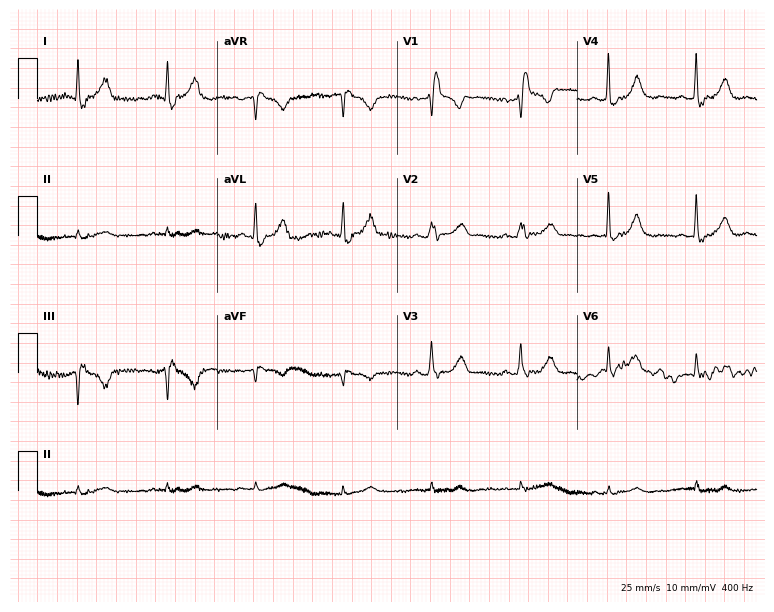
Resting 12-lead electrocardiogram. Patient: a female, 78 years old. None of these six findings is recorded: first-degree AV block, right bundle branch block, left bundle branch block, sinus bradycardia, atrial fibrillation, sinus tachycardia. Only these six findings were labelled.